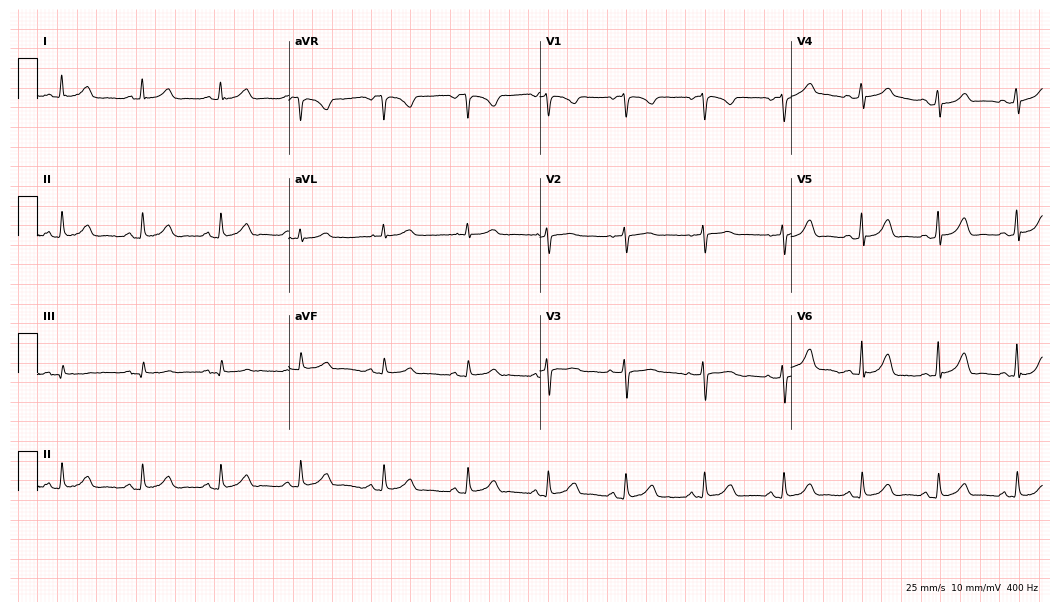
Electrocardiogram (10.2-second recording at 400 Hz), a 44-year-old woman. Overall reading on record: normal ECG.